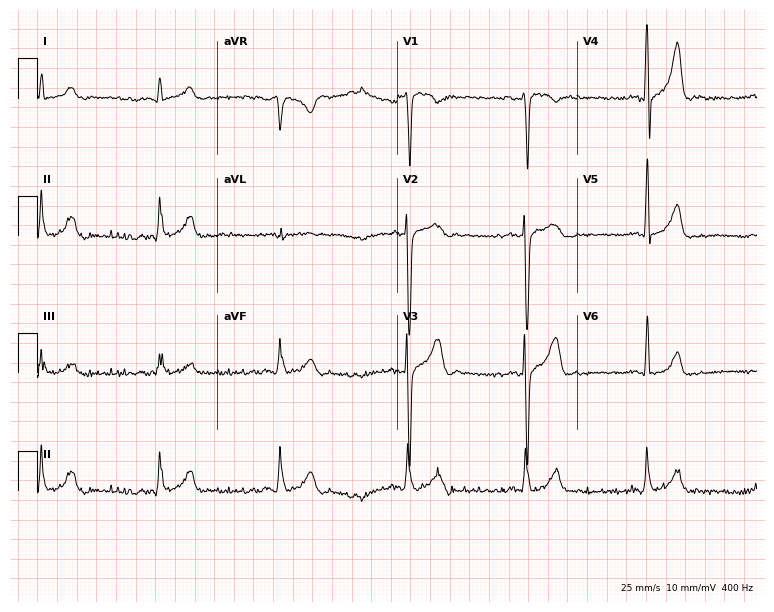
12-lead ECG from a 31-year-old man. Shows sinus bradycardia (a sinus rate of 50 beats per minute or less).